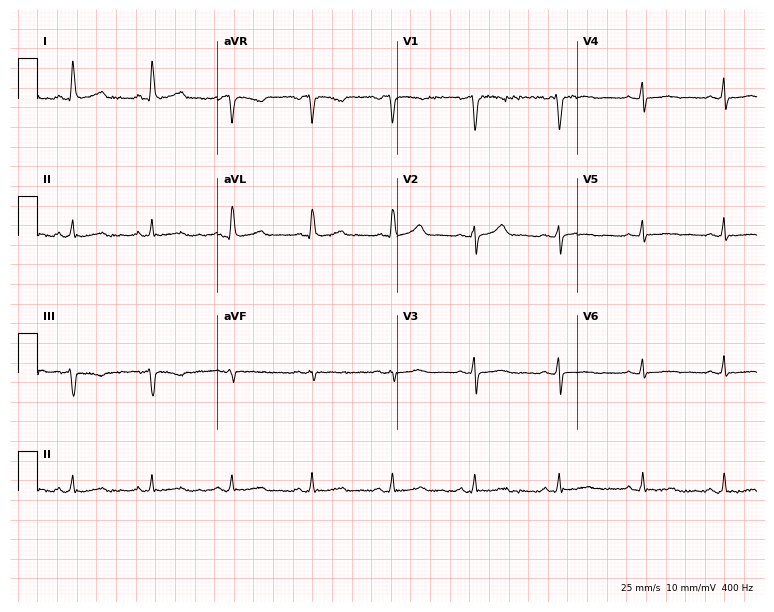
Electrocardiogram (7.3-second recording at 400 Hz), a woman, 46 years old. Overall reading on record: normal ECG.